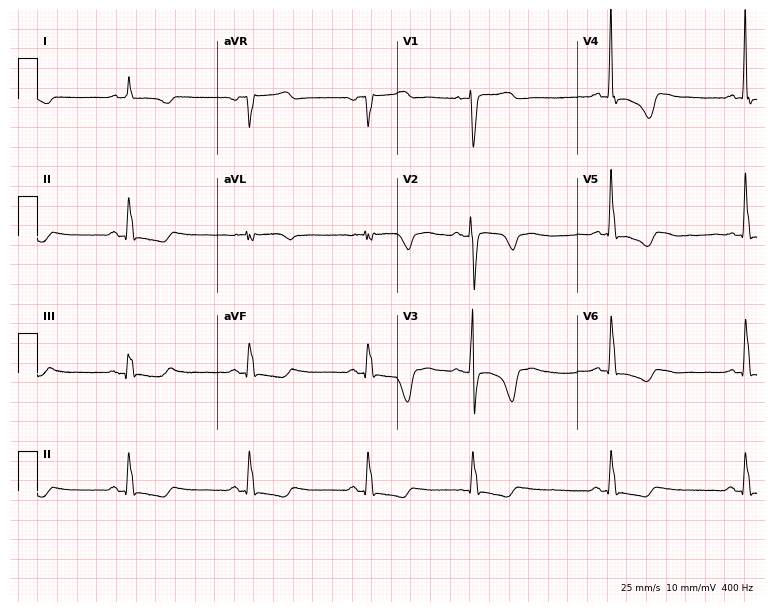
Standard 12-lead ECG recorded from a woman, 74 years old (7.3-second recording at 400 Hz). None of these six findings is recorded: first-degree AV block, right bundle branch block, left bundle branch block, sinus bradycardia, atrial fibrillation, sinus tachycardia.